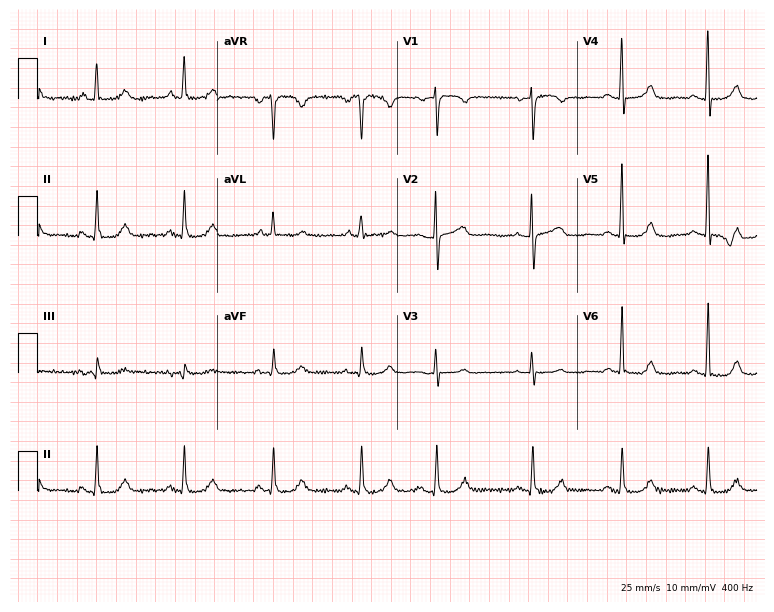
ECG (7.3-second recording at 400 Hz) — a 71-year-old woman. Labelled as a normal ECG.